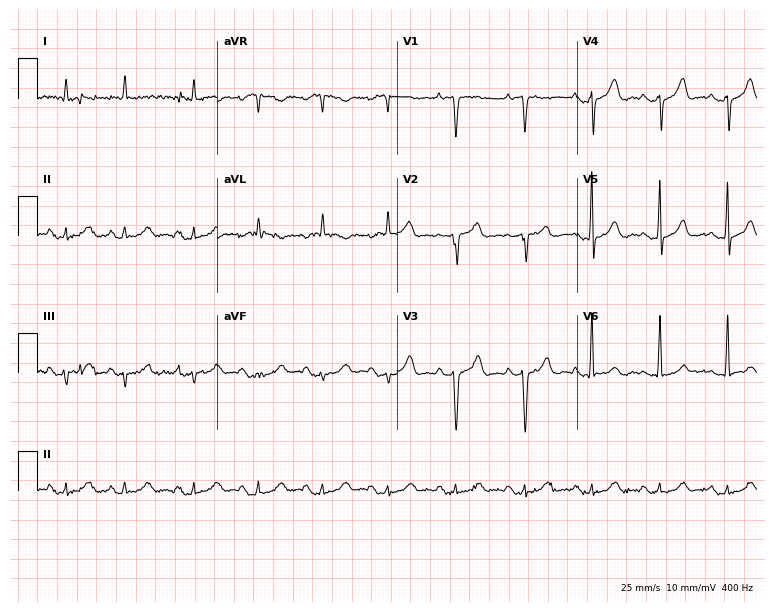
Standard 12-lead ECG recorded from a man, 78 years old. None of these six findings is recorded: first-degree AV block, right bundle branch block (RBBB), left bundle branch block (LBBB), sinus bradycardia, atrial fibrillation (AF), sinus tachycardia. Only these six findings were labelled.